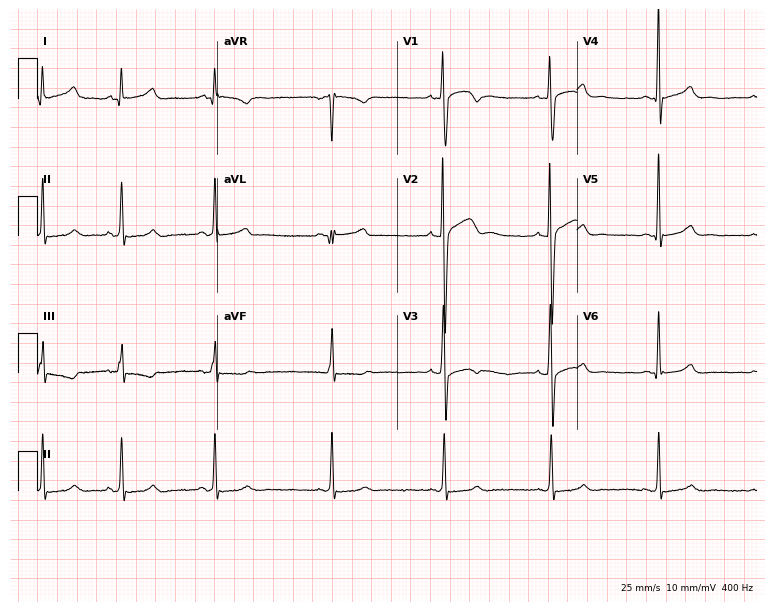
12-lead ECG from a 29-year-old male (7.3-second recording at 400 Hz). No first-degree AV block, right bundle branch block, left bundle branch block, sinus bradycardia, atrial fibrillation or sinus tachycardia recorded for this tracing. Findings outside these six are not listed.